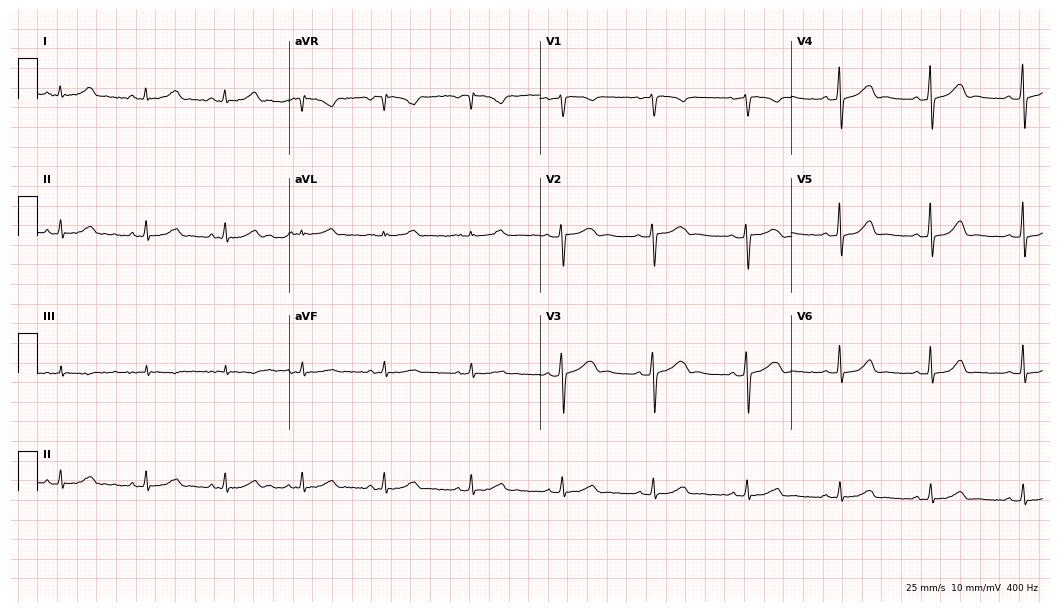
12-lead ECG from a 42-year-old male patient (10.2-second recording at 400 Hz). No first-degree AV block, right bundle branch block, left bundle branch block, sinus bradycardia, atrial fibrillation or sinus tachycardia recorded for this tracing. Findings outside these six are not listed.